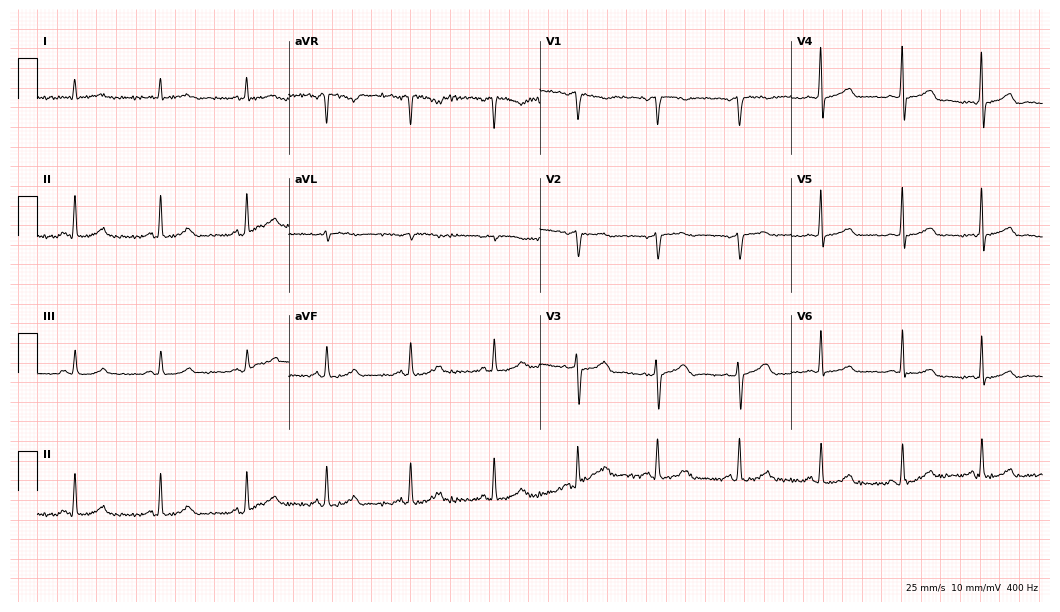
ECG (10.2-second recording at 400 Hz) — a female patient, 49 years old. Screened for six findings — first-degree AV block, right bundle branch block (RBBB), left bundle branch block (LBBB), sinus bradycardia, atrial fibrillation (AF), sinus tachycardia — none is recorded. Findings outside these six are not listed.